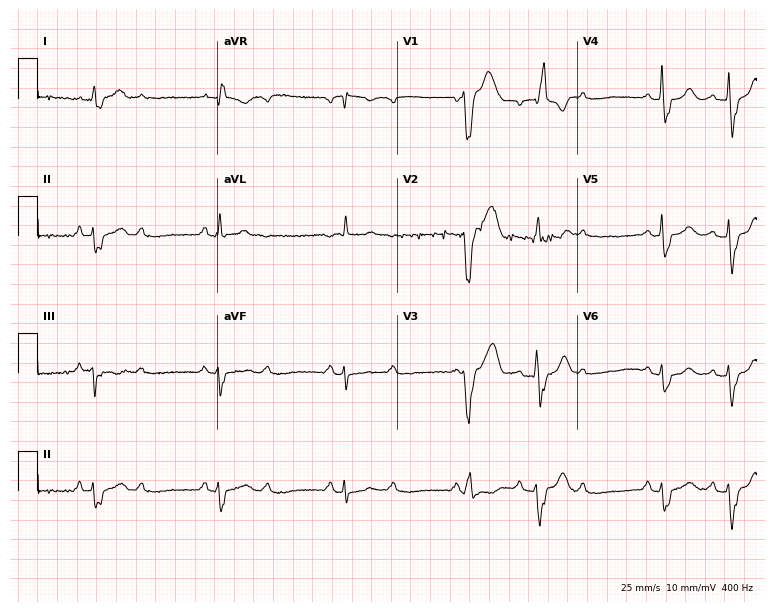
ECG (7.3-second recording at 400 Hz) — a 68-year-old man. Screened for six findings — first-degree AV block, right bundle branch block, left bundle branch block, sinus bradycardia, atrial fibrillation, sinus tachycardia — none is recorded. Only these six findings were labelled.